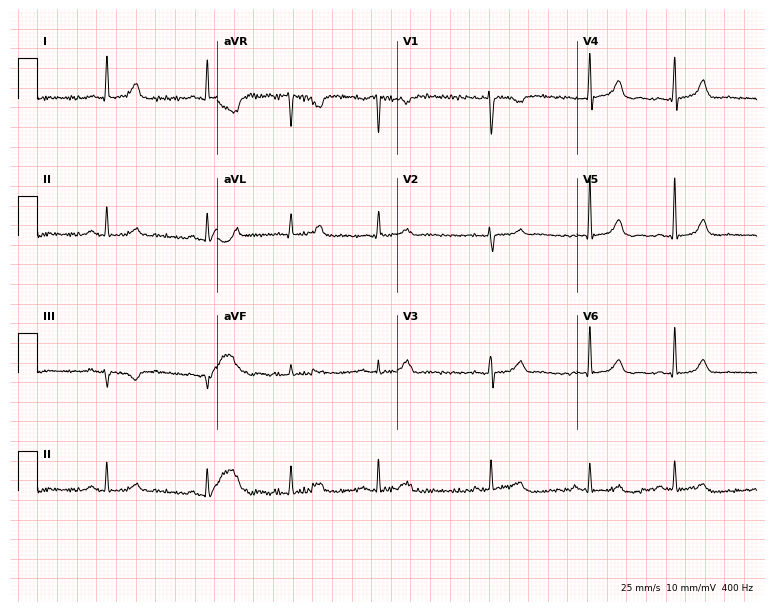
Electrocardiogram, a 35-year-old female patient. Of the six screened findings (first-degree AV block, right bundle branch block (RBBB), left bundle branch block (LBBB), sinus bradycardia, atrial fibrillation (AF), sinus tachycardia), none is recorded. Only these six findings were labelled.